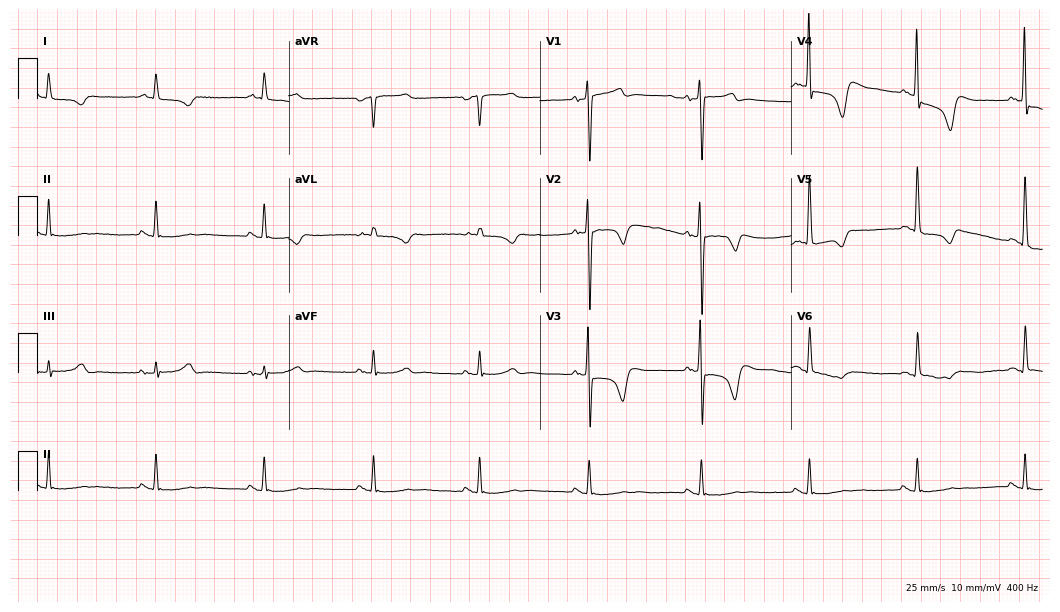
12-lead ECG from a 67-year-old male patient. No first-degree AV block, right bundle branch block (RBBB), left bundle branch block (LBBB), sinus bradycardia, atrial fibrillation (AF) or sinus tachycardia recorded for this tracing. Other findings, if any, are not listed.